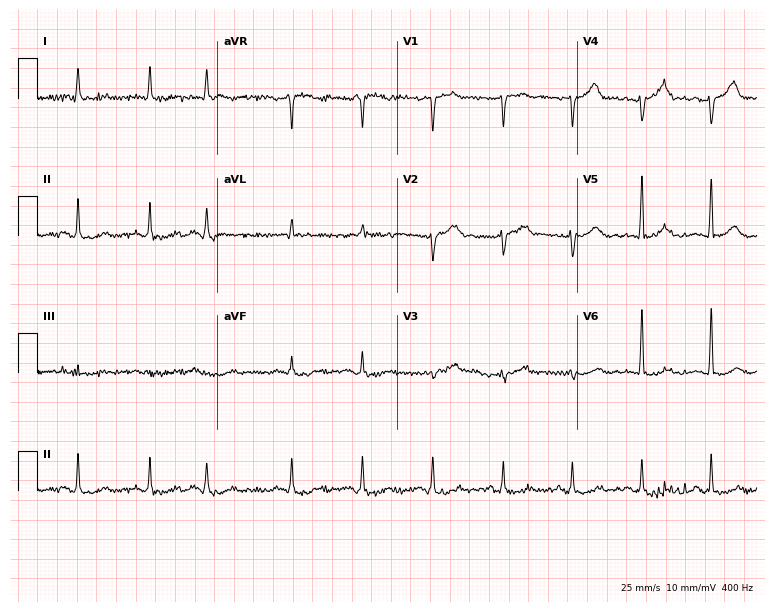
Resting 12-lead electrocardiogram. Patient: a male, 80 years old. None of these six findings is recorded: first-degree AV block, right bundle branch block, left bundle branch block, sinus bradycardia, atrial fibrillation, sinus tachycardia.